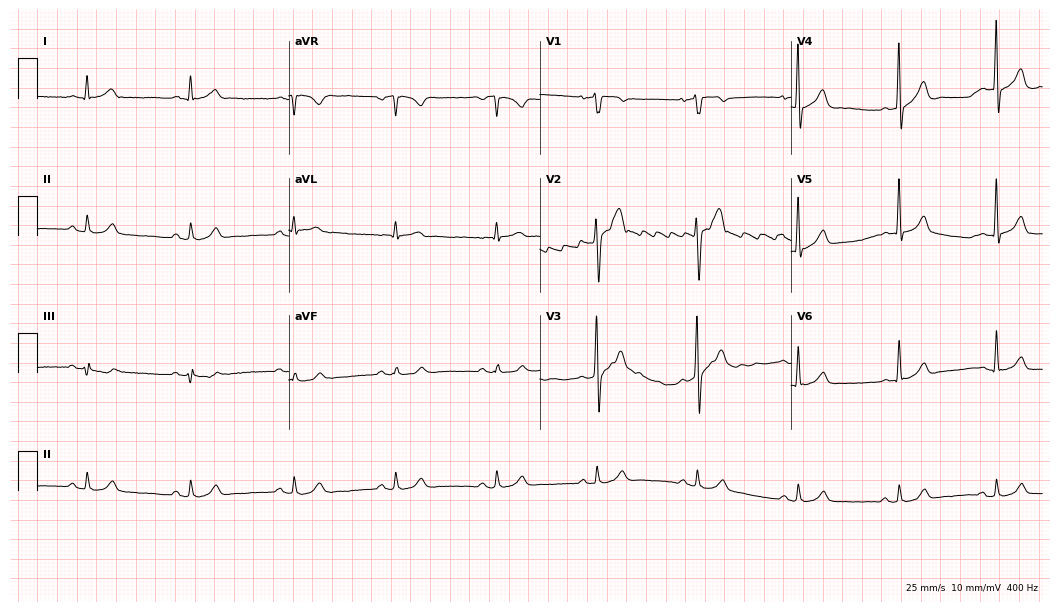
Electrocardiogram, a 41-year-old man. Overall reading on record: normal ECG.